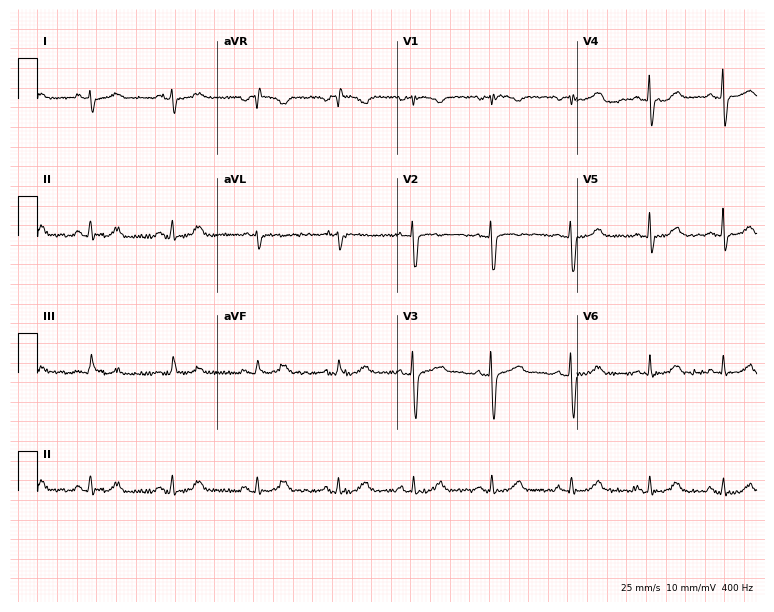
Resting 12-lead electrocardiogram (7.3-second recording at 400 Hz). Patient: a 24-year-old female. Read as a normal ECG.